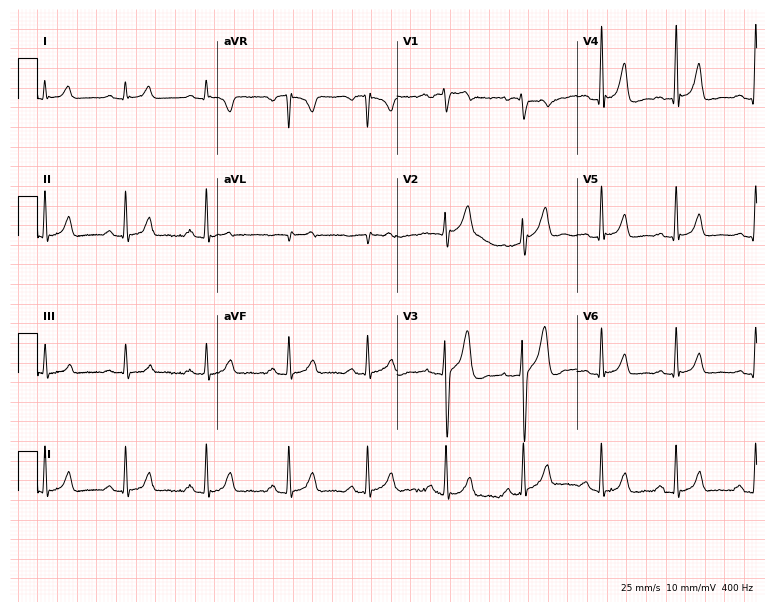
Electrocardiogram (7.3-second recording at 400 Hz), a male, 31 years old. Overall reading on record: normal ECG.